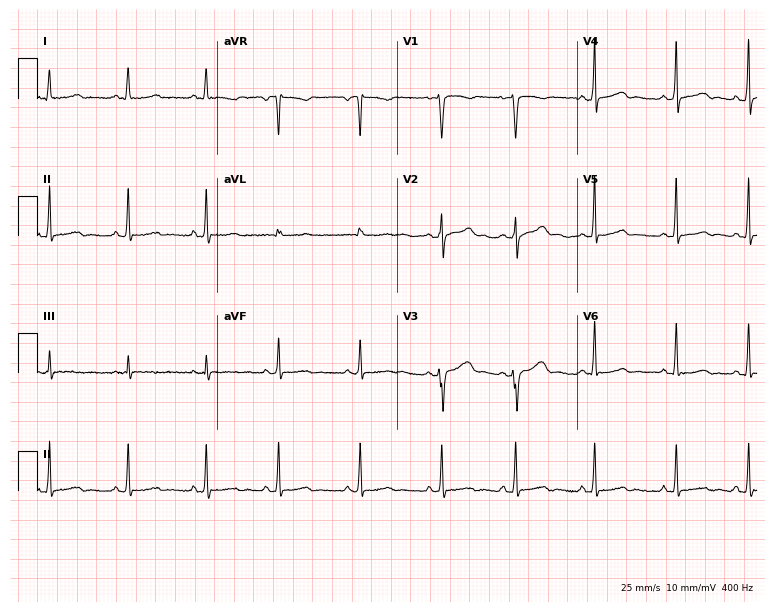
Resting 12-lead electrocardiogram (7.3-second recording at 400 Hz). Patient: a female, 18 years old. Read as a normal ECG.